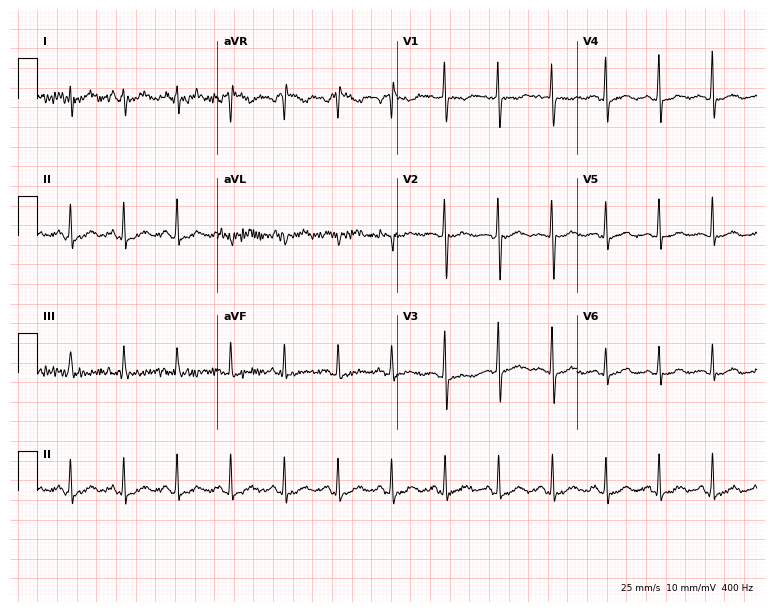
ECG (7.3-second recording at 400 Hz) — a 57-year-old female patient. Screened for six findings — first-degree AV block, right bundle branch block, left bundle branch block, sinus bradycardia, atrial fibrillation, sinus tachycardia — none is recorded.